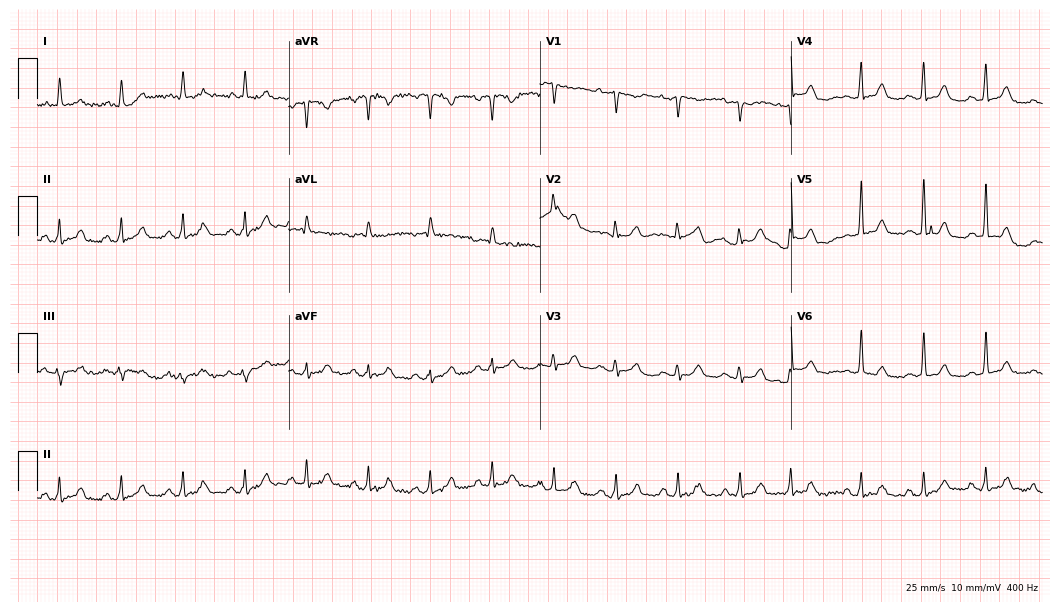
12-lead ECG (10.2-second recording at 400 Hz) from a female patient, 80 years old. Labelled as a normal ECG.